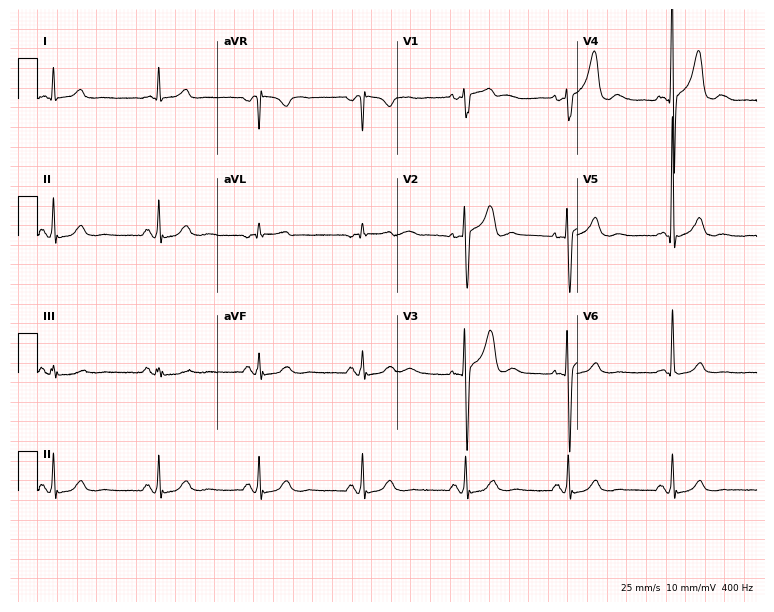
Resting 12-lead electrocardiogram. Patient: a man, 63 years old. None of these six findings is recorded: first-degree AV block, right bundle branch block, left bundle branch block, sinus bradycardia, atrial fibrillation, sinus tachycardia.